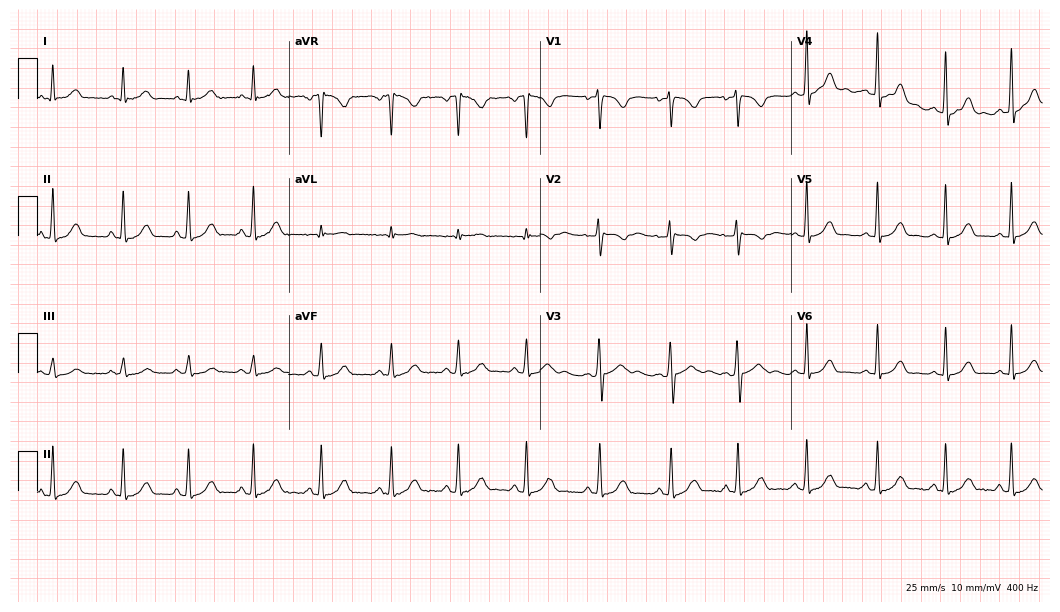
ECG — a female, 25 years old. Labelled as a normal ECG.